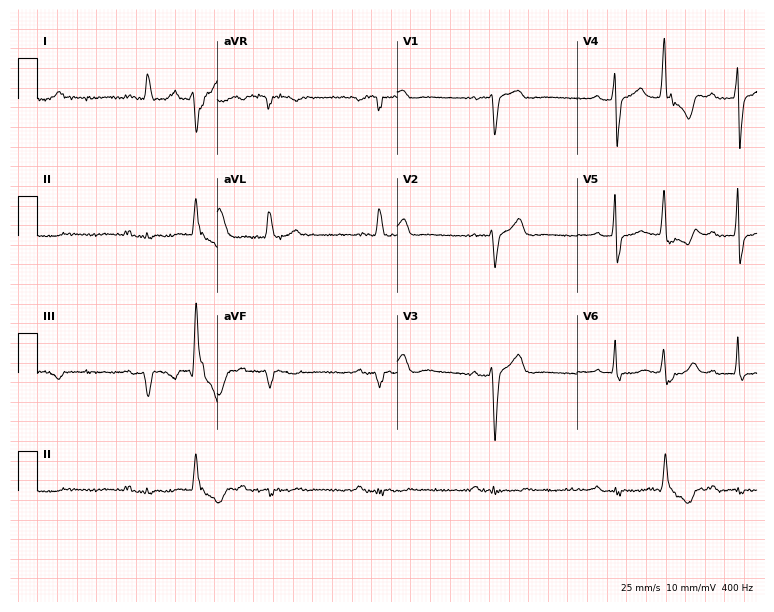
12-lead ECG from a man, 77 years old. Screened for six findings — first-degree AV block, right bundle branch block, left bundle branch block, sinus bradycardia, atrial fibrillation, sinus tachycardia — none is recorded.